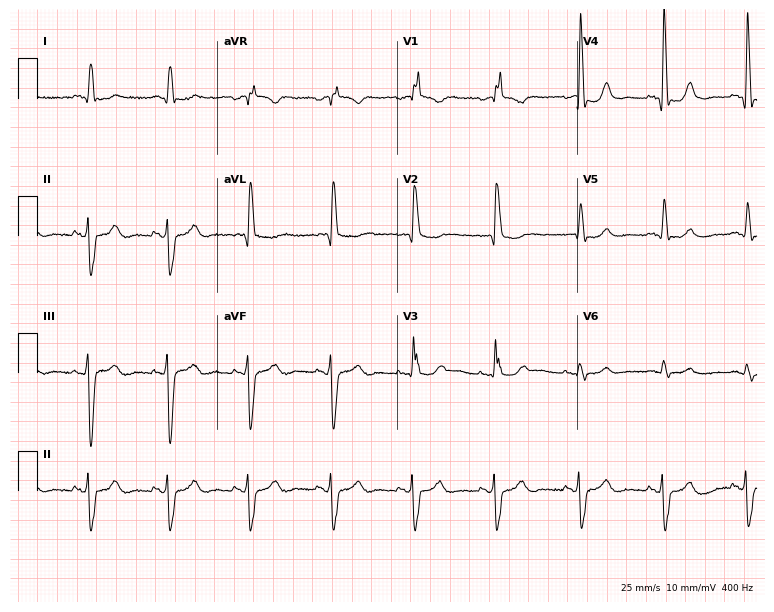
12-lead ECG from a 73-year-old female patient. Shows right bundle branch block (RBBB).